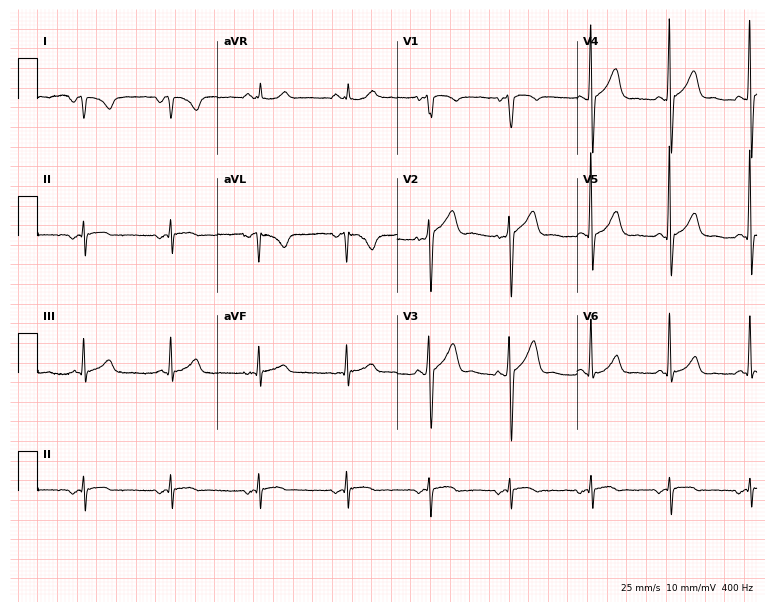
12-lead ECG (7.3-second recording at 400 Hz) from a 55-year-old male. Screened for six findings — first-degree AV block, right bundle branch block, left bundle branch block, sinus bradycardia, atrial fibrillation, sinus tachycardia — none is recorded.